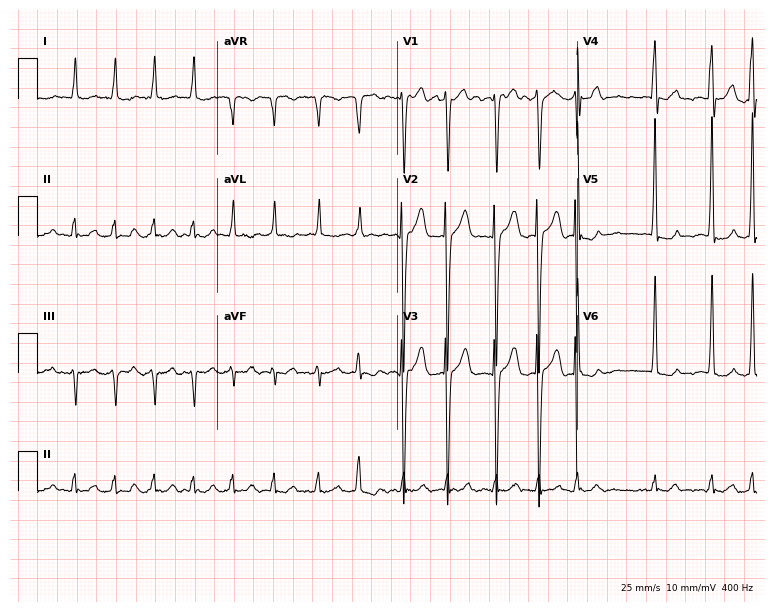
Standard 12-lead ECG recorded from an 84-year-old female. The tracing shows atrial fibrillation, sinus tachycardia (a sinus rate of 100 beats per minute or more).